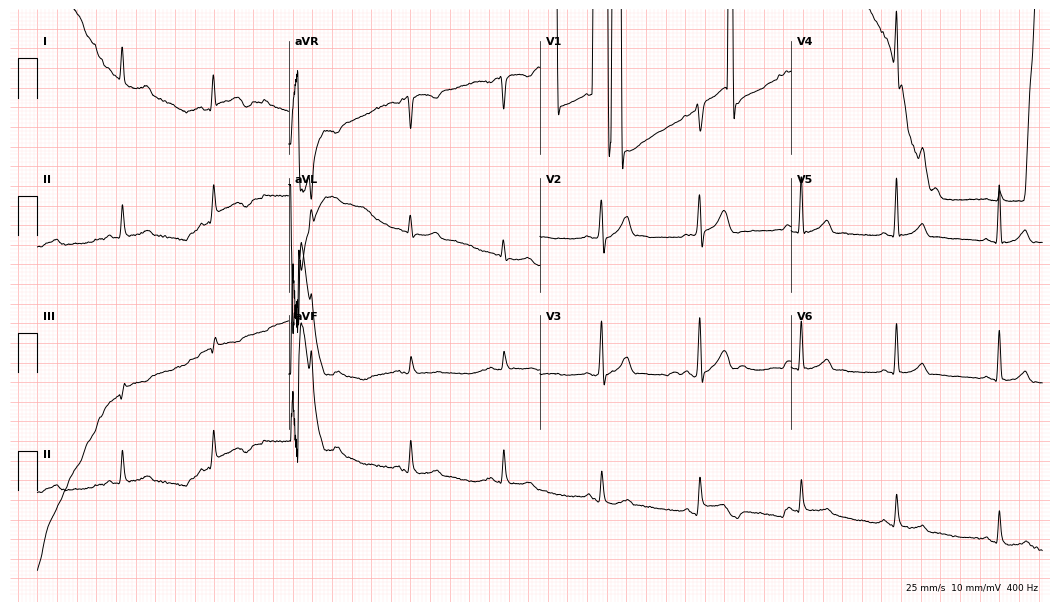
Standard 12-lead ECG recorded from a 40-year-old man. None of these six findings is recorded: first-degree AV block, right bundle branch block, left bundle branch block, sinus bradycardia, atrial fibrillation, sinus tachycardia. Other findings, if any, are not listed.